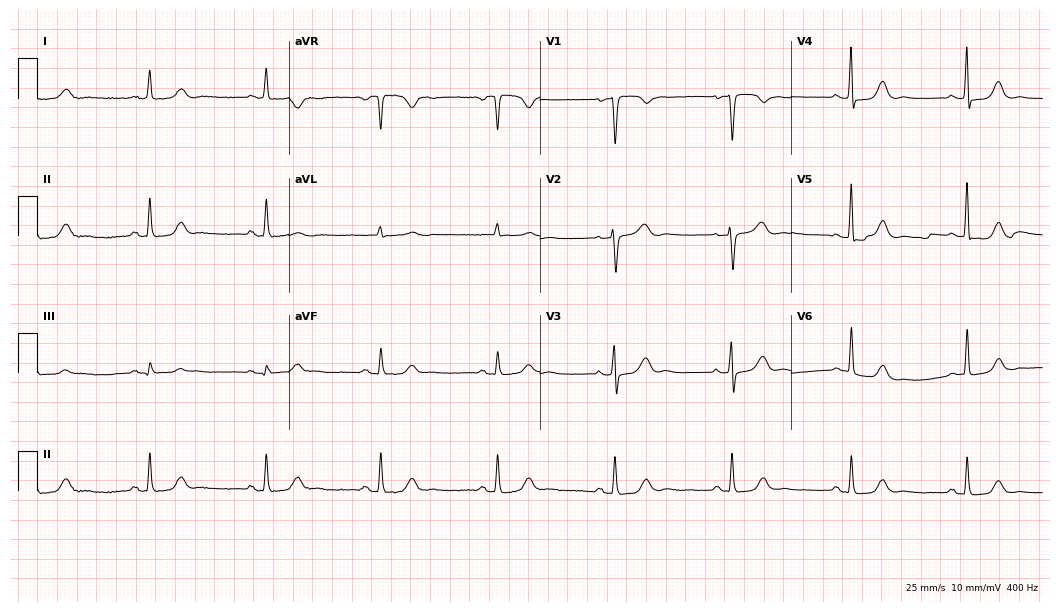
Standard 12-lead ECG recorded from a 79-year-old woman (10.2-second recording at 400 Hz). The tracing shows sinus bradycardia (a sinus rate of 50 beats per minute or less).